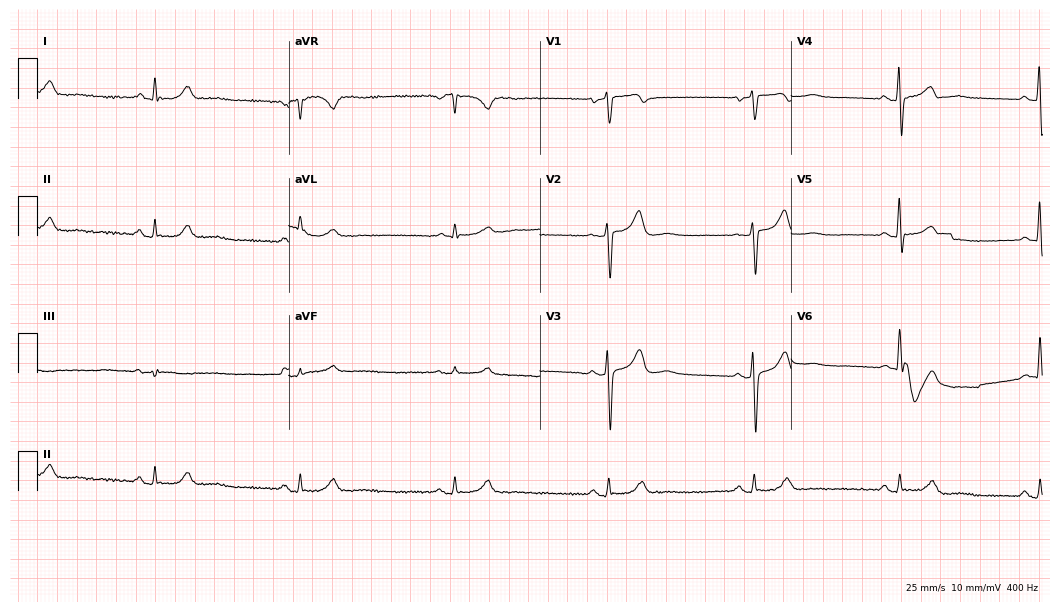
ECG (10.2-second recording at 400 Hz) — a man, 68 years old. Findings include sinus bradycardia (a sinus rate of 50 beats per minute or less).